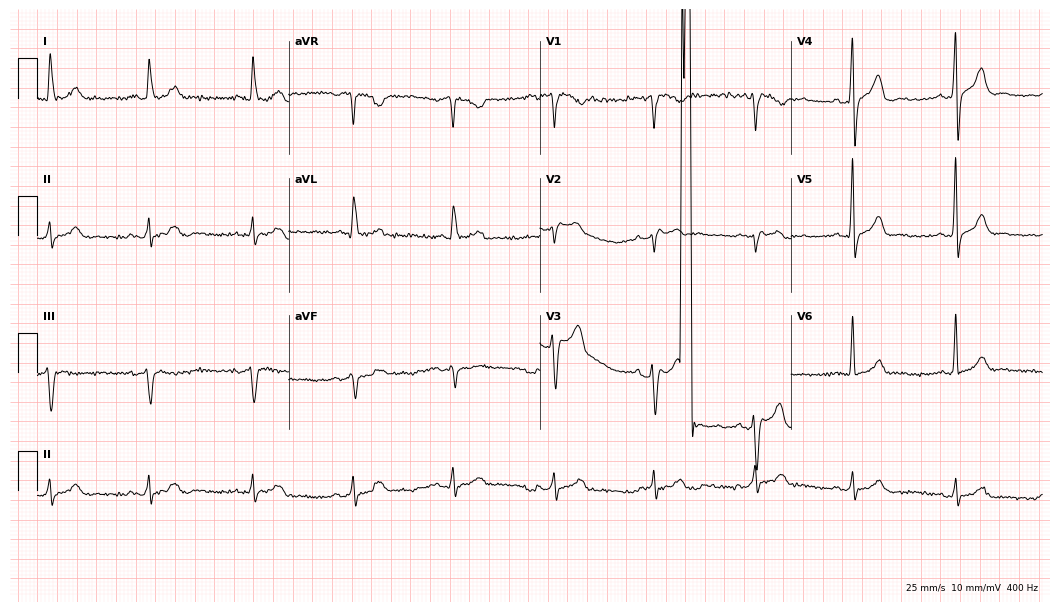
12-lead ECG (10.2-second recording at 400 Hz) from a 41-year-old male patient. Screened for six findings — first-degree AV block, right bundle branch block, left bundle branch block, sinus bradycardia, atrial fibrillation, sinus tachycardia — none is recorded. Other findings, if any, are not listed.